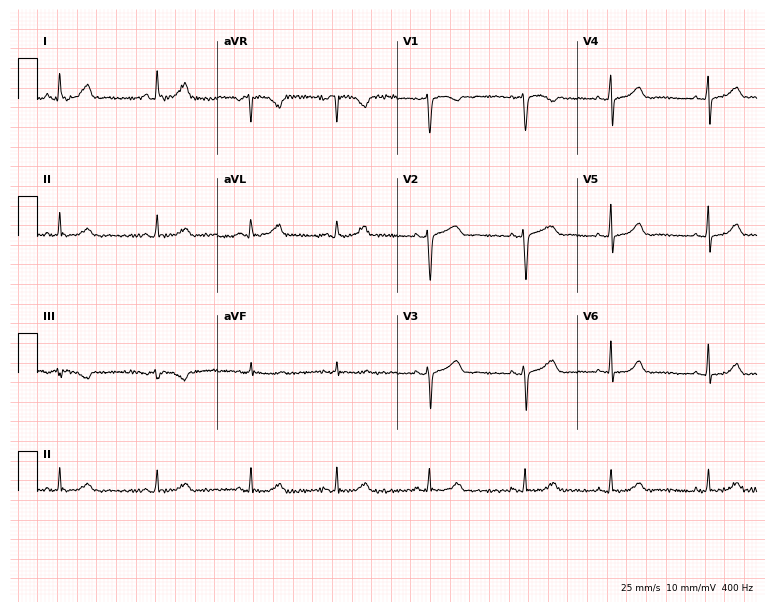
12-lead ECG from a 51-year-old female (7.3-second recording at 400 Hz). No first-degree AV block, right bundle branch block (RBBB), left bundle branch block (LBBB), sinus bradycardia, atrial fibrillation (AF) or sinus tachycardia recorded for this tracing. Only these six findings were labelled.